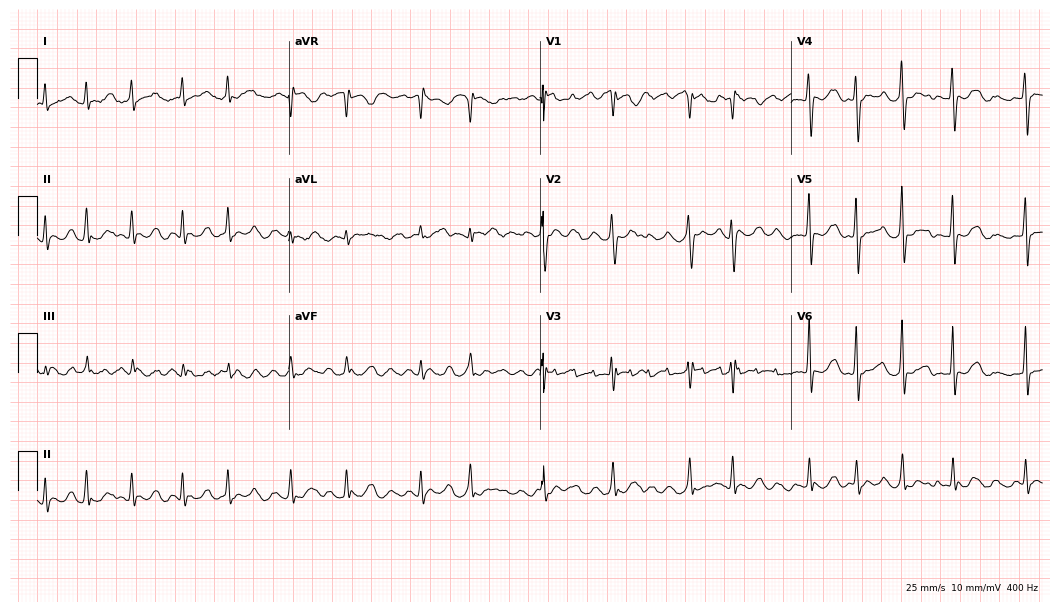
Standard 12-lead ECG recorded from a 48-year-old female patient (10.2-second recording at 400 Hz). The tracing shows atrial fibrillation (AF).